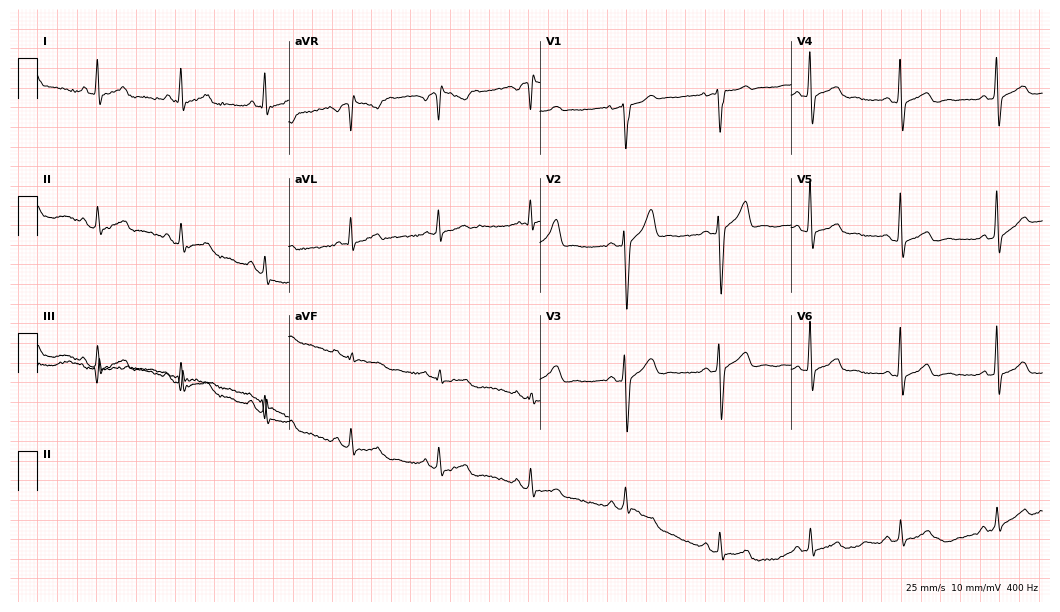
12-lead ECG from a 37-year-old male. Labelled as a normal ECG.